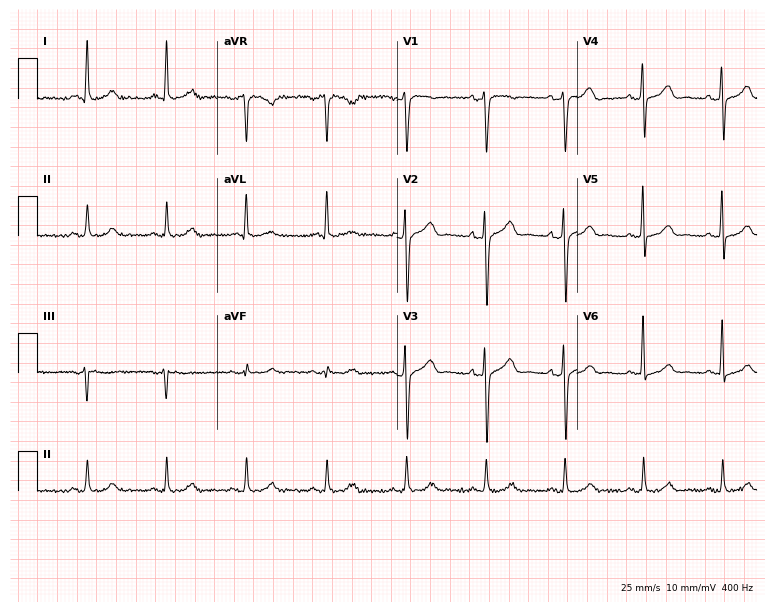
Standard 12-lead ECG recorded from a female, 49 years old (7.3-second recording at 400 Hz). None of these six findings is recorded: first-degree AV block, right bundle branch block, left bundle branch block, sinus bradycardia, atrial fibrillation, sinus tachycardia.